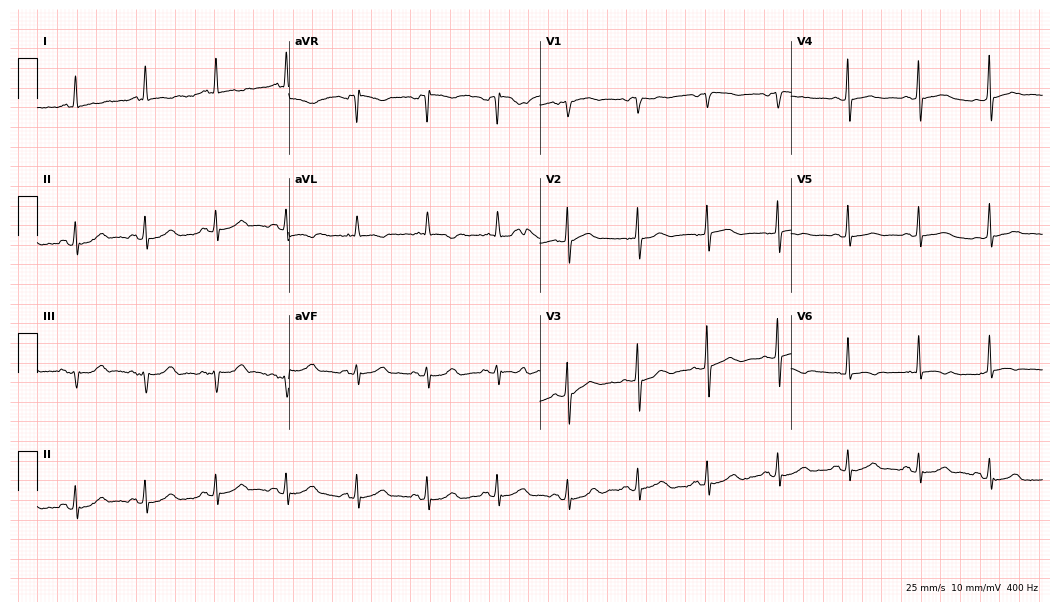
12-lead ECG from a male patient, 82 years old. No first-degree AV block, right bundle branch block, left bundle branch block, sinus bradycardia, atrial fibrillation or sinus tachycardia recorded for this tracing.